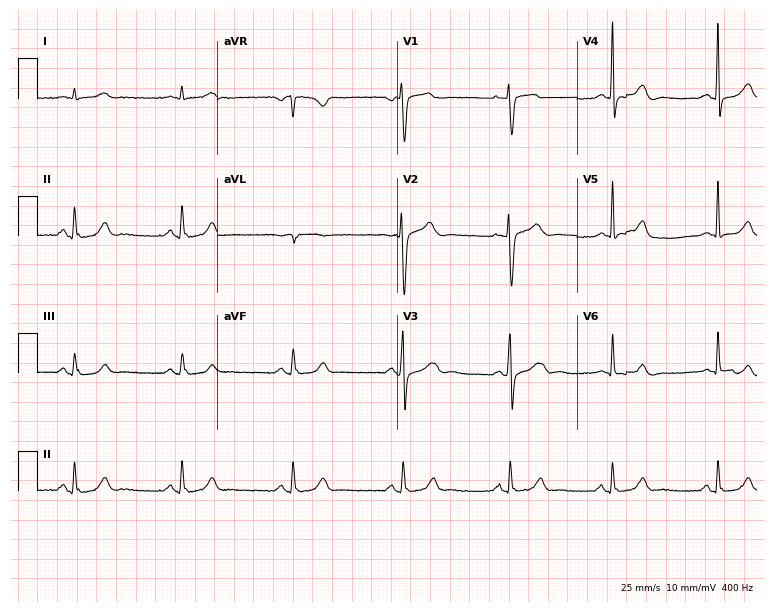
Electrocardiogram (7.3-second recording at 400 Hz), a female, 52 years old. Overall reading on record: normal ECG.